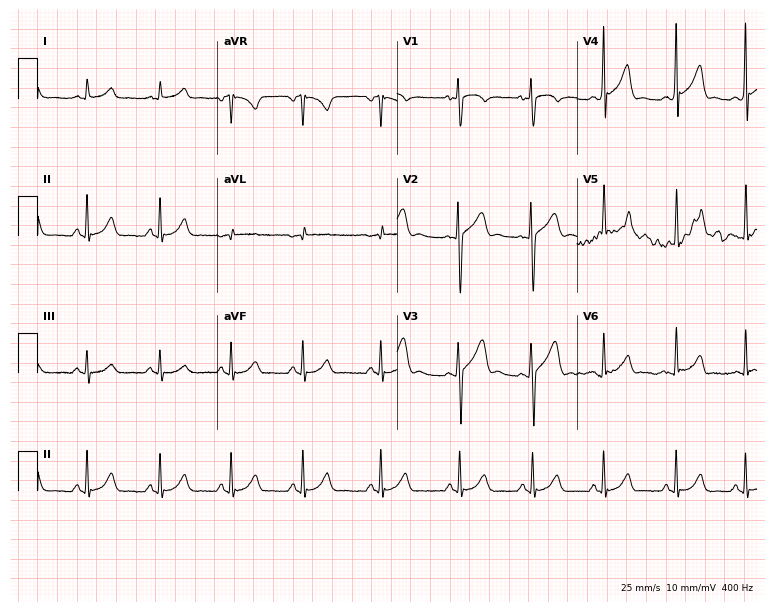
12-lead ECG from a 20-year-old male patient (7.3-second recording at 400 Hz). No first-degree AV block, right bundle branch block, left bundle branch block, sinus bradycardia, atrial fibrillation or sinus tachycardia recorded for this tracing.